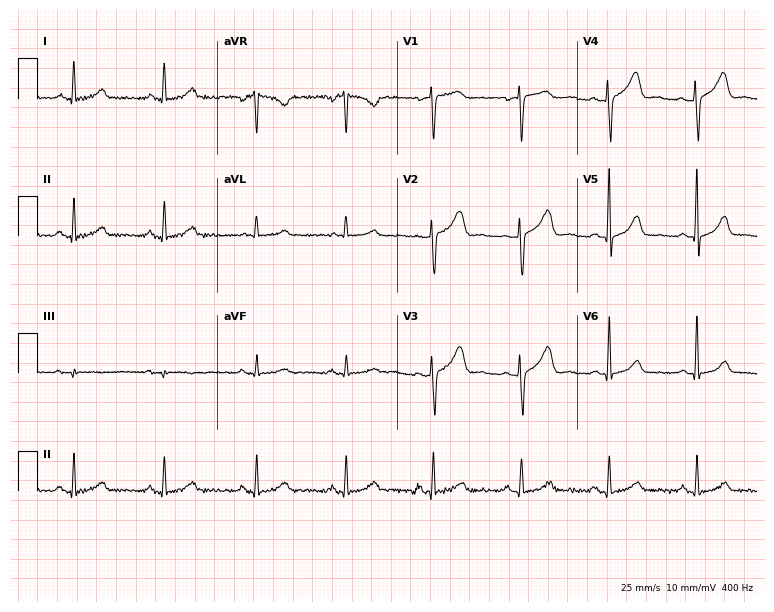
12-lead ECG from a 60-year-old female patient. Screened for six findings — first-degree AV block, right bundle branch block, left bundle branch block, sinus bradycardia, atrial fibrillation, sinus tachycardia — none is recorded. Other findings, if any, are not listed.